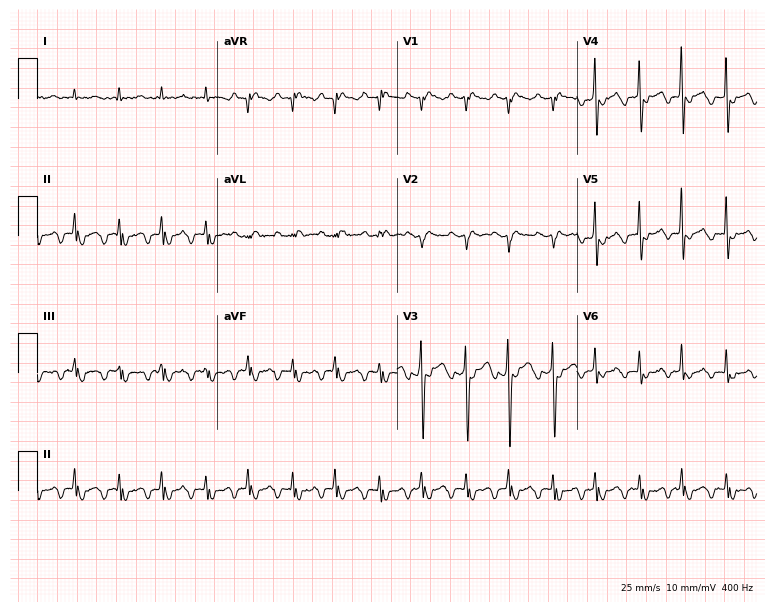
12-lead ECG from a 72-year-old man. No first-degree AV block, right bundle branch block (RBBB), left bundle branch block (LBBB), sinus bradycardia, atrial fibrillation (AF) or sinus tachycardia recorded for this tracing. Only these six findings were labelled.